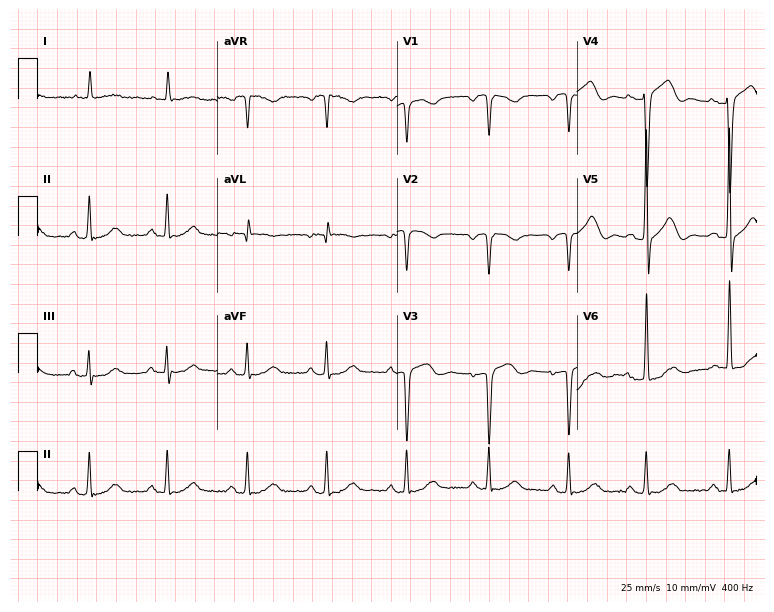
ECG — an 84-year-old female. Screened for six findings — first-degree AV block, right bundle branch block (RBBB), left bundle branch block (LBBB), sinus bradycardia, atrial fibrillation (AF), sinus tachycardia — none is recorded.